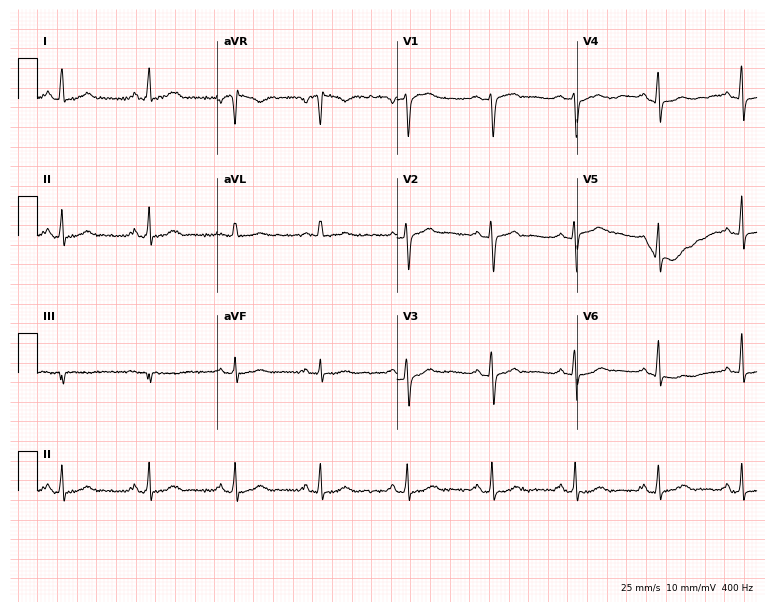
Resting 12-lead electrocardiogram (7.3-second recording at 400 Hz). Patient: a 50-year-old female. Read as a normal ECG.